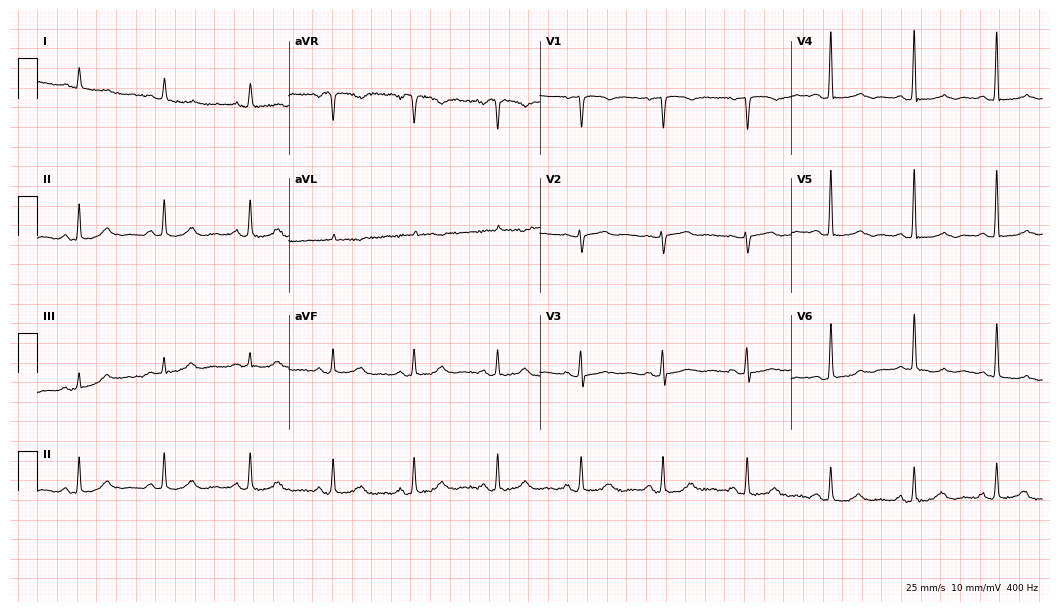
12-lead ECG from a woman, 84 years old. Labelled as a normal ECG.